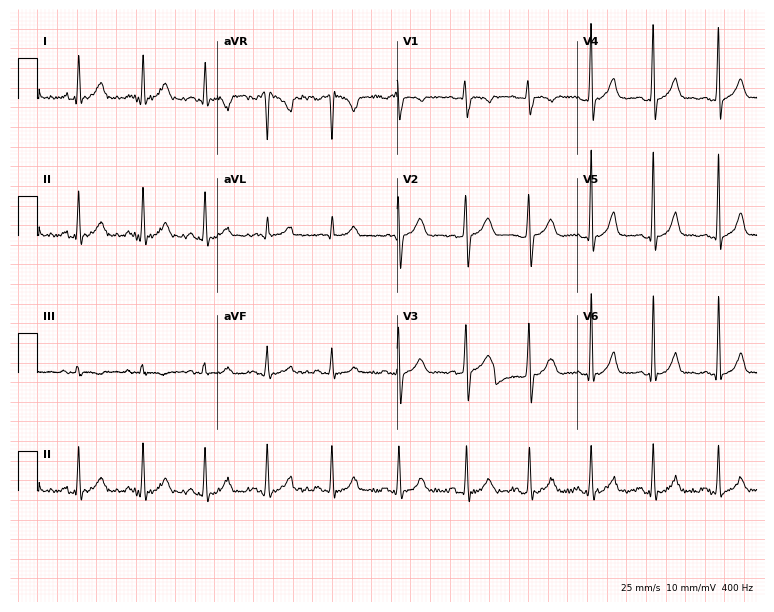
Resting 12-lead electrocardiogram. Patient: a woman, 25 years old. Read as a normal ECG.